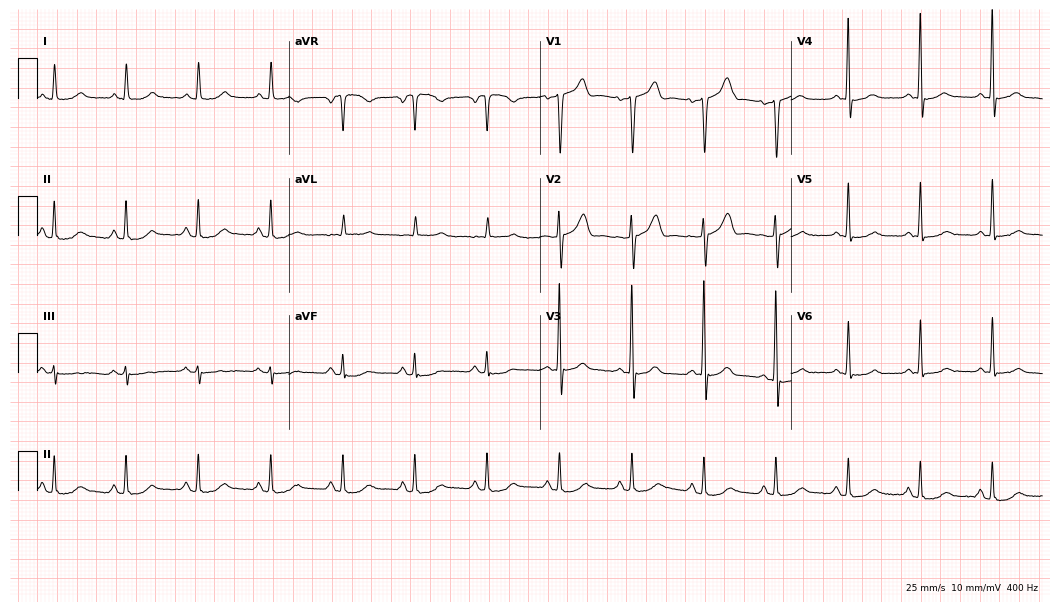
Resting 12-lead electrocardiogram (10.2-second recording at 400 Hz). Patient: a male, 71 years old. Read as a normal ECG.